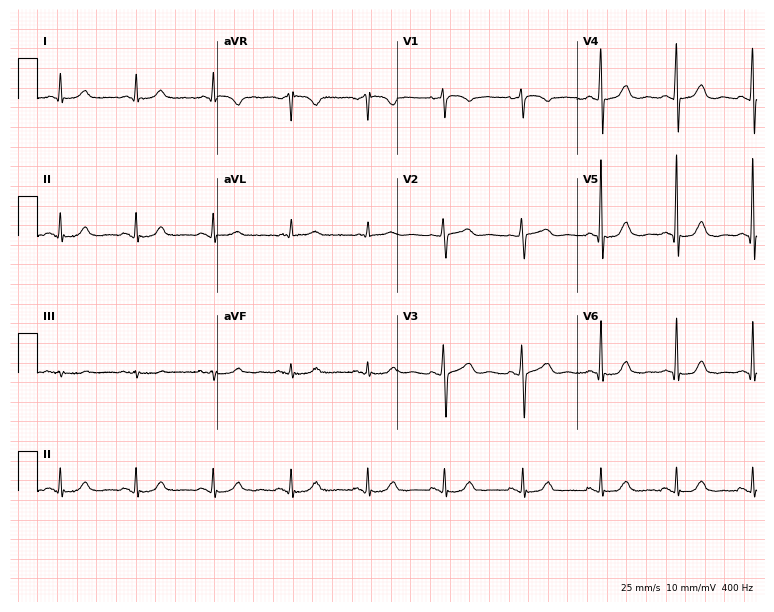
Standard 12-lead ECG recorded from a female patient, 74 years old (7.3-second recording at 400 Hz). Read as a normal ECG.